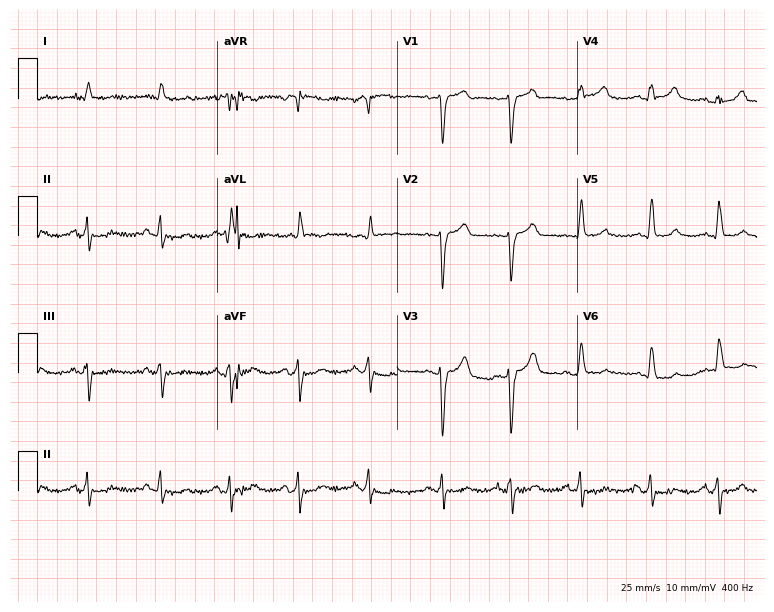
Standard 12-lead ECG recorded from a male patient, 70 years old. None of these six findings is recorded: first-degree AV block, right bundle branch block, left bundle branch block, sinus bradycardia, atrial fibrillation, sinus tachycardia.